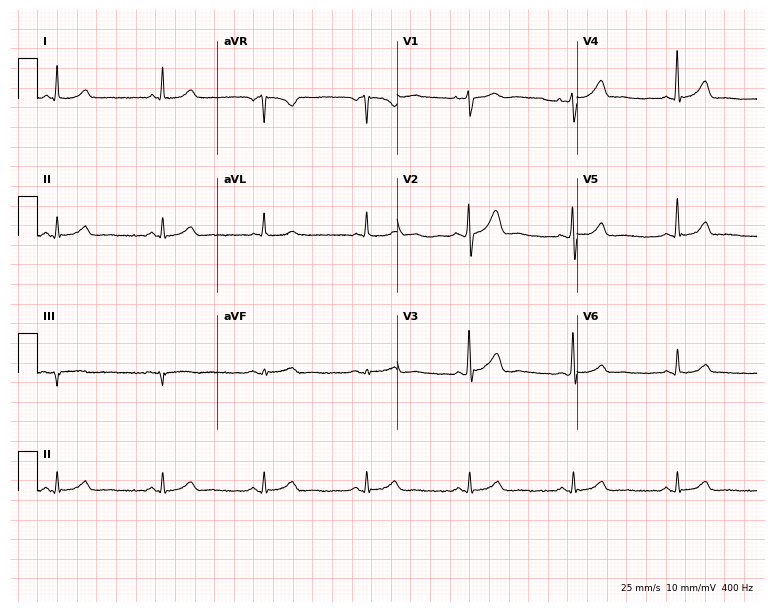
Resting 12-lead electrocardiogram. Patient: a male, 43 years old. None of these six findings is recorded: first-degree AV block, right bundle branch block, left bundle branch block, sinus bradycardia, atrial fibrillation, sinus tachycardia.